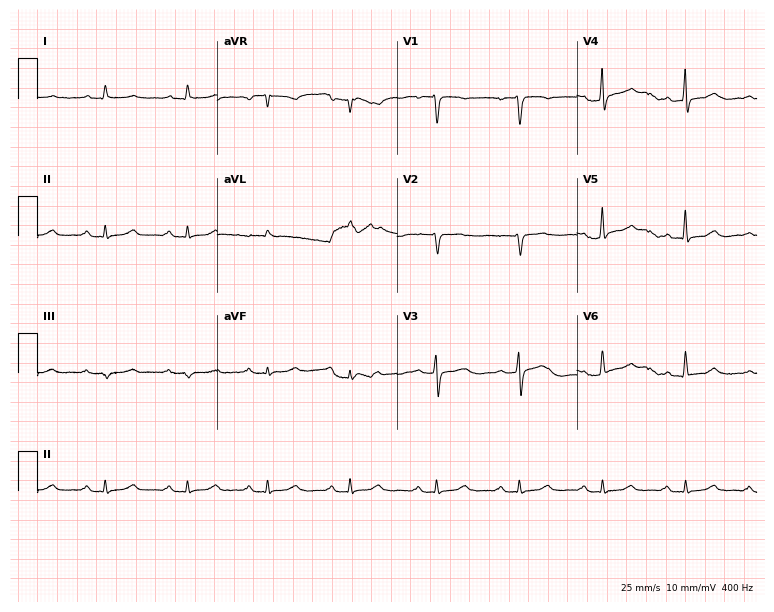
ECG — a 77-year-old man. Screened for six findings — first-degree AV block, right bundle branch block, left bundle branch block, sinus bradycardia, atrial fibrillation, sinus tachycardia — none is recorded.